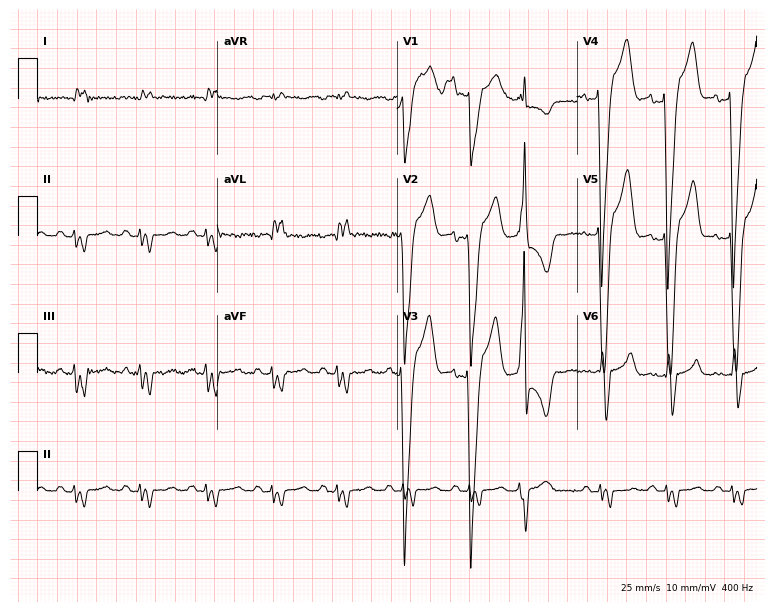
Standard 12-lead ECG recorded from a male, 48 years old. None of these six findings is recorded: first-degree AV block, right bundle branch block, left bundle branch block, sinus bradycardia, atrial fibrillation, sinus tachycardia. Only these six findings were labelled.